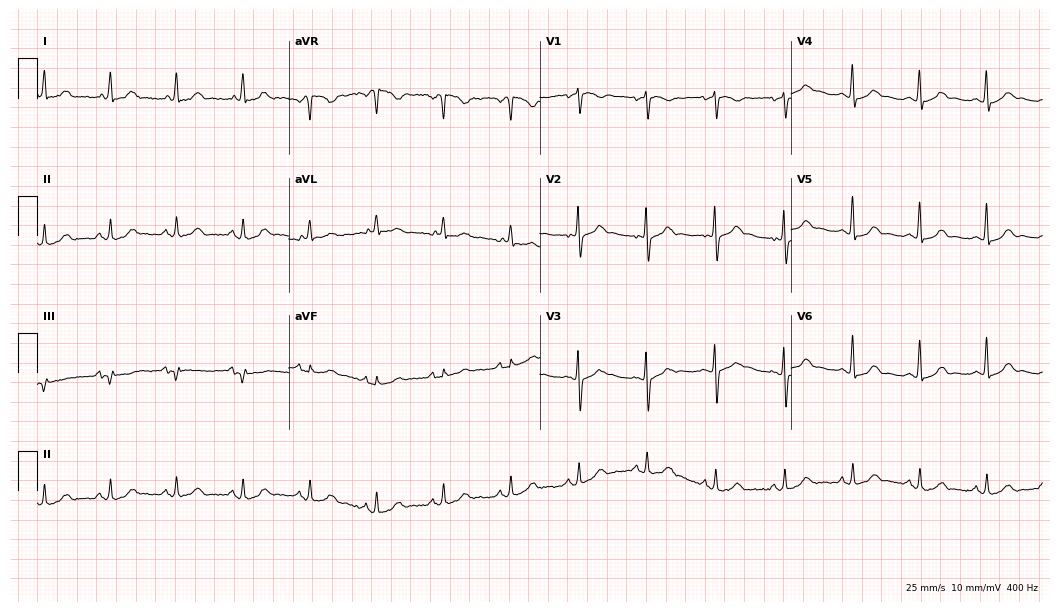
ECG (10.2-second recording at 400 Hz) — a 65-year-old woman. Labelled as a normal ECG.